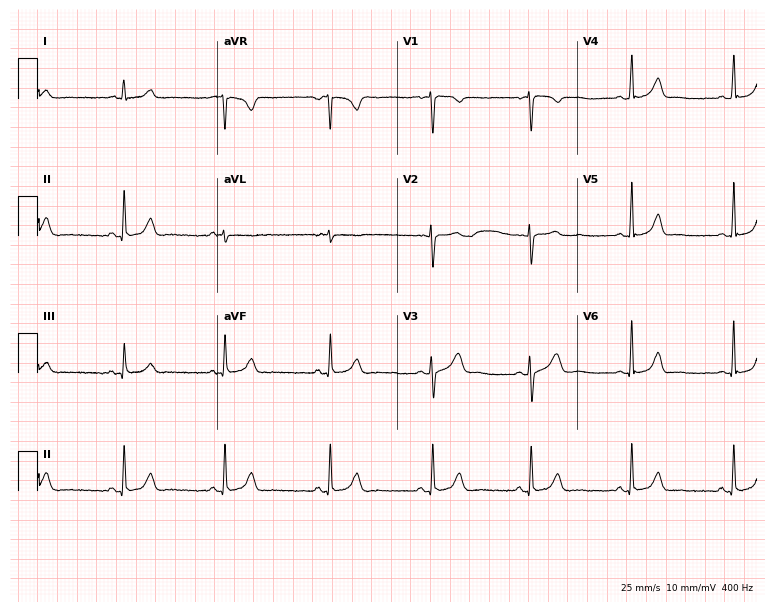
12-lead ECG from a 19-year-old woman. Labelled as a normal ECG.